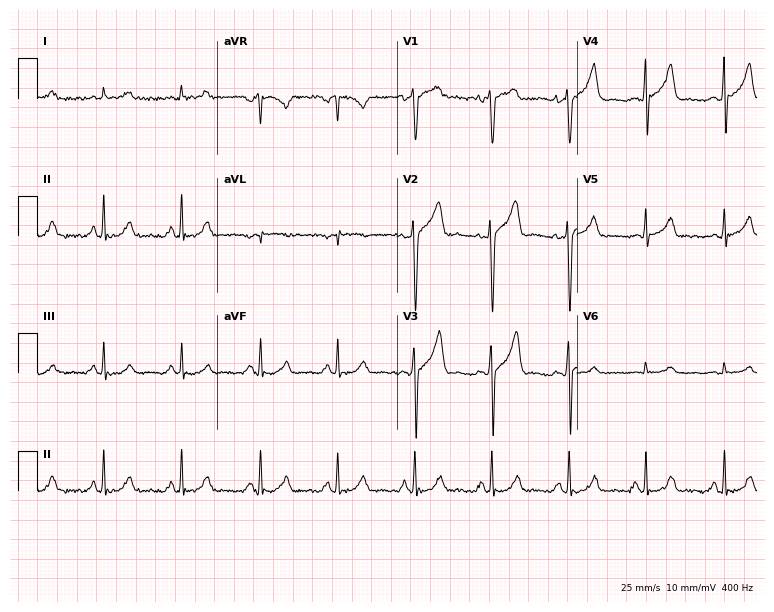
12-lead ECG (7.3-second recording at 400 Hz) from a 41-year-old man. Labelled as a normal ECG.